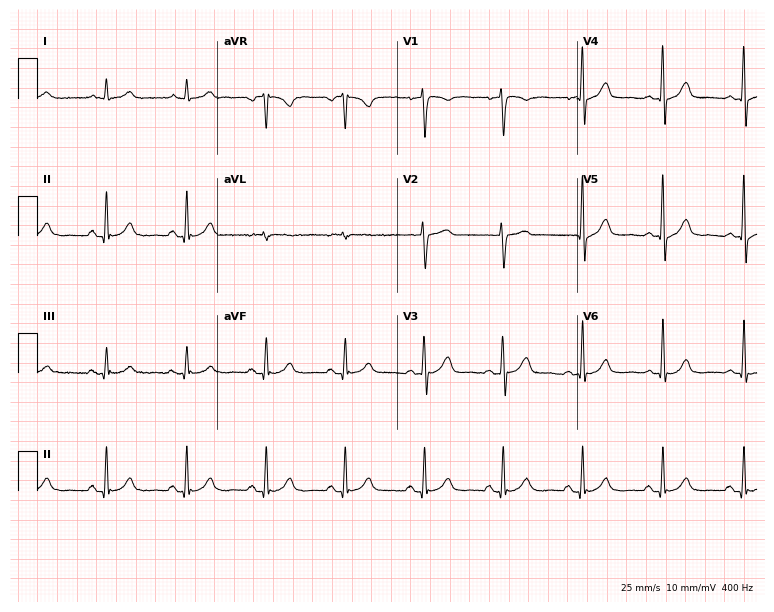
Resting 12-lead electrocardiogram (7.3-second recording at 400 Hz). Patient: a 57-year-old male. Read as a normal ECG.